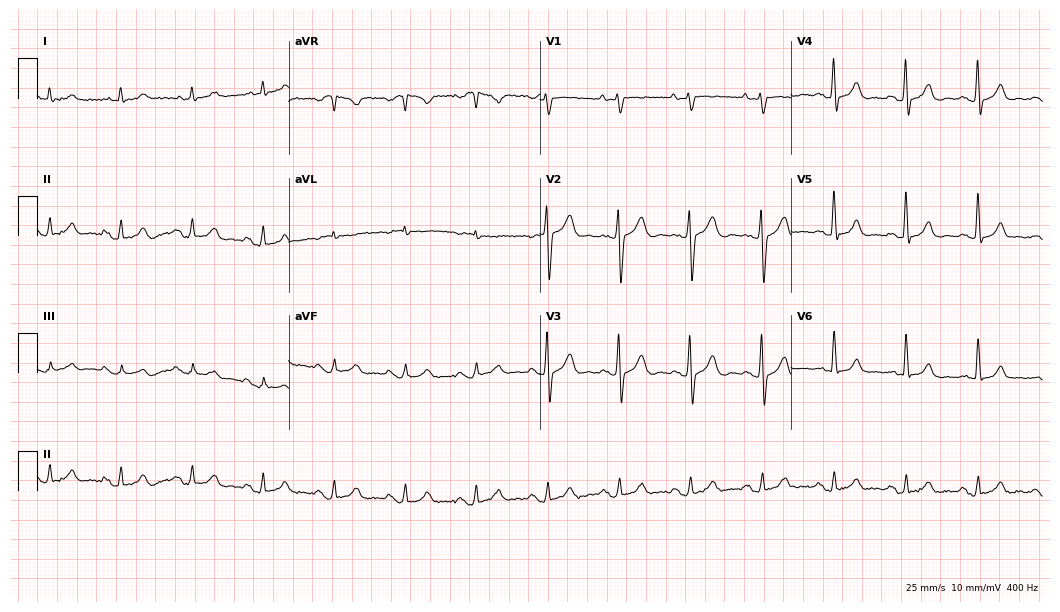
12-lead ECG from a male patient, 72 years old. Labelled as a normal ECG.